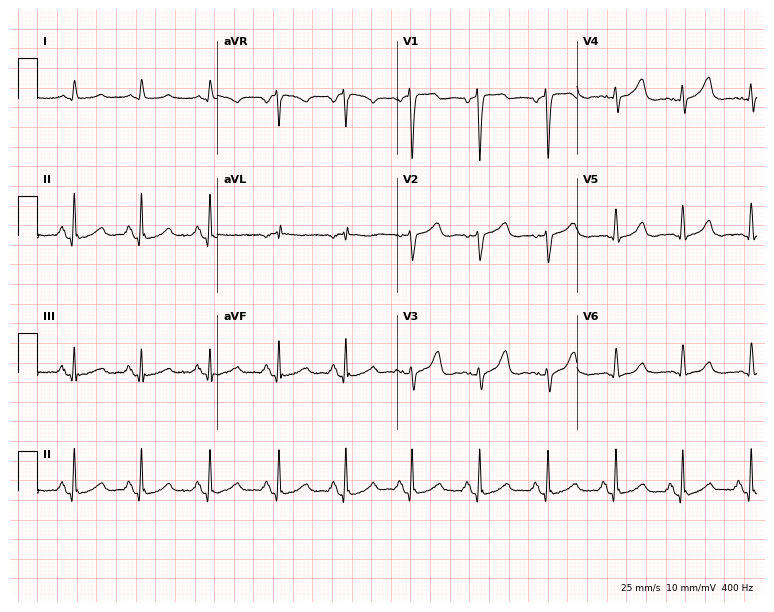
12-lead ECG from a 63-year-old male patient. Screened for six findings — first-degree AV block, right bundle branch block (RBBB), left bundle branch block (LBBB), sinus bradycardia, atrial fibrillation (AF), sinus tachycardia — none is recorded. Only these six findings were labelled.